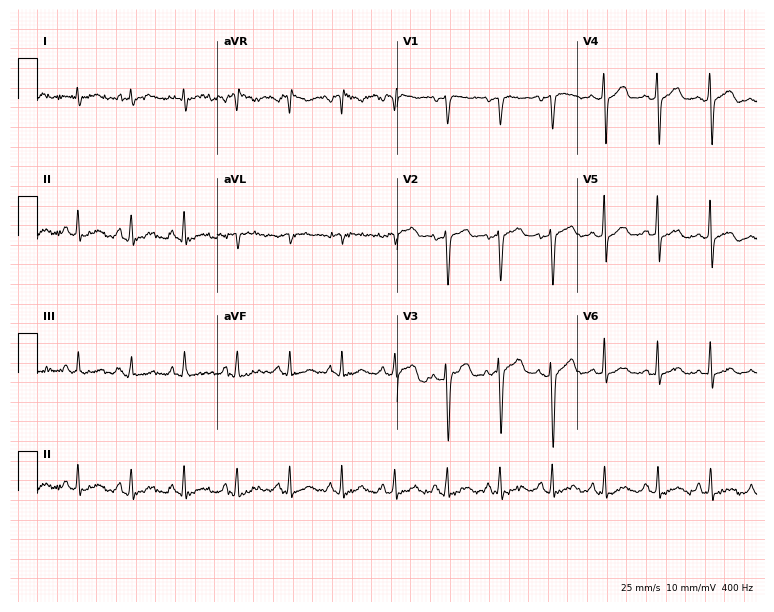
Resting 12-lead electrocardiogram (7.3-second recording at 400 Hz). Patient: a 66-year-old male. The tracing shows sinus tachycardia (a sinus rate of 100 beats per minute or more).